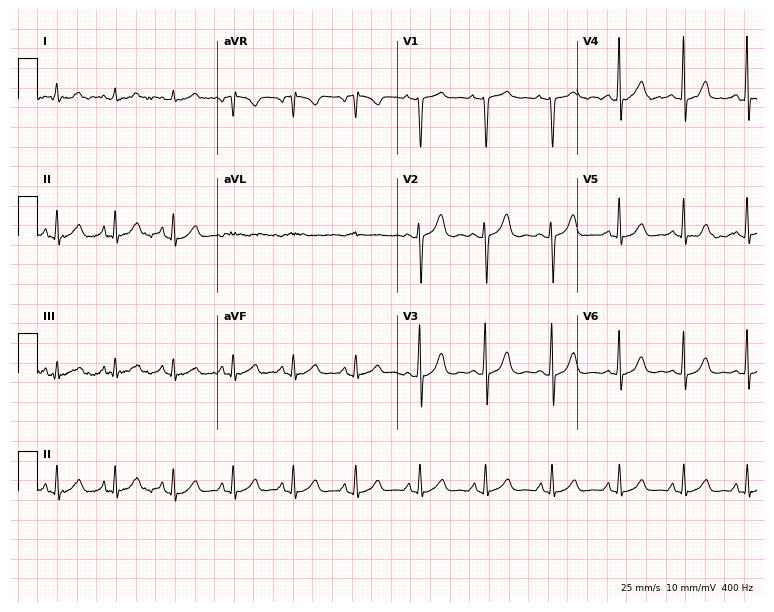
Standard 12-lead ECG recorded from a 40-year-old woman (7.3-second recording at 400 Hz). None of these six findings is recorded: first-degree AV block, right bundle branch block (RBBB), left bundle branch block (LBBB), sinus bradycardia, atrial fibrillation (AF), sinus tachycardia. Only these six findings were labelled.